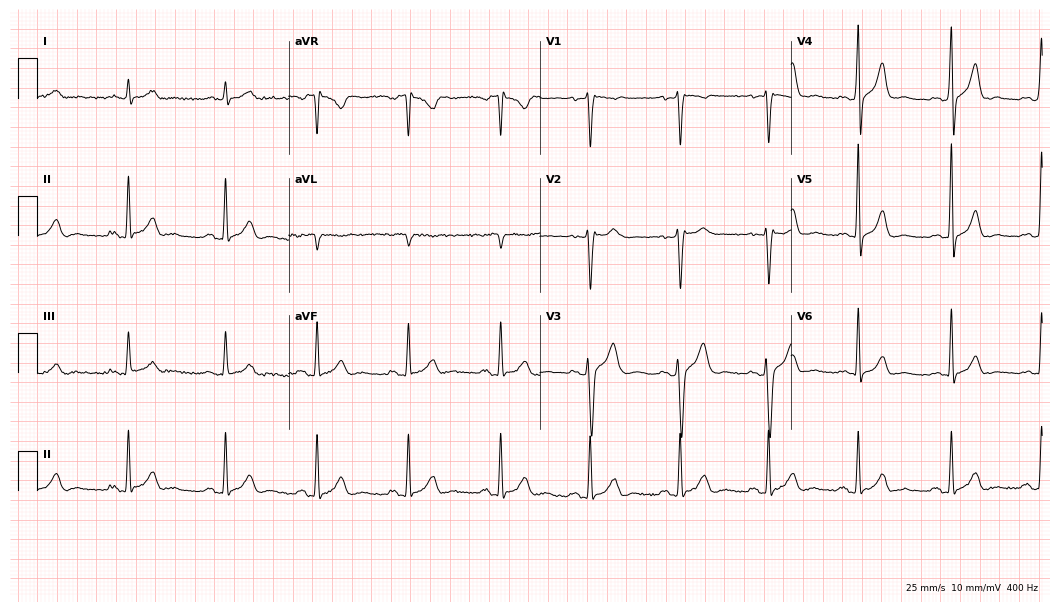
12-lead ECG from a male, 38 years old. Labelled as a normal ECG.